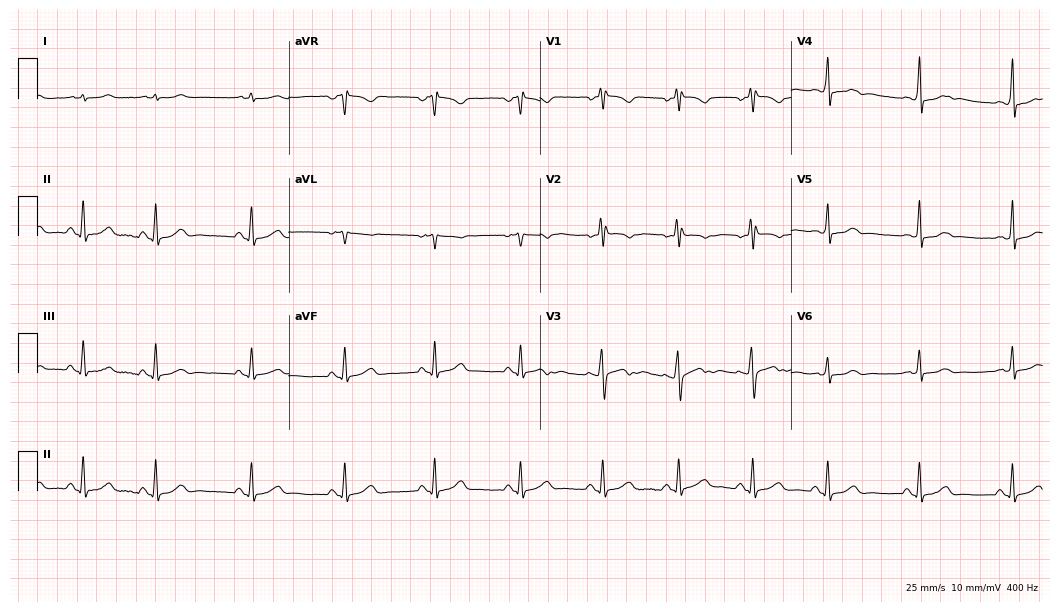
Resting 12-lead electrocardiogram (10.2-second recording at 400 Hz). Patient: a woman, 17 years old. None of these six findings is recorded: first-degree AV block, right bundle branch block, left bundle branch block, sinus bradycardia, atrial fibrillation, sinus tachycardia. Other findings, if any, are not listed.